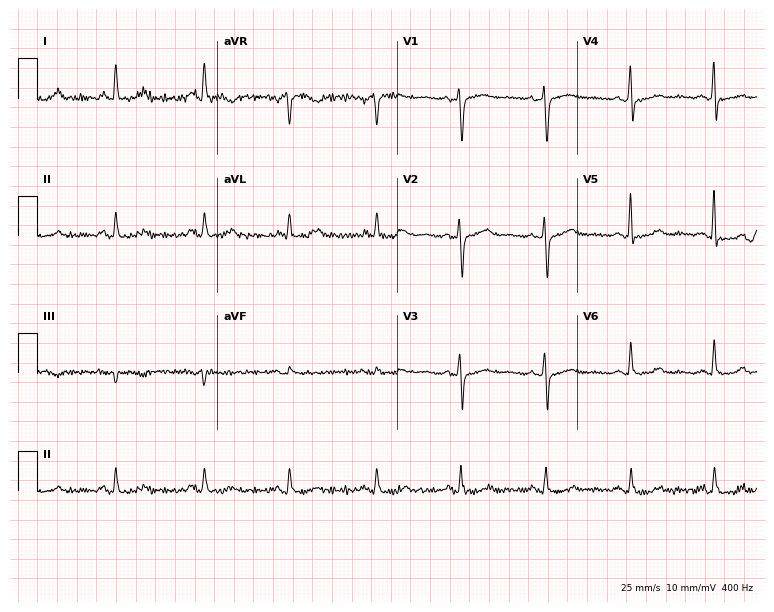
12-lead ECG from a female patient, 66 years old. Recorded interpretation: within normal limits.